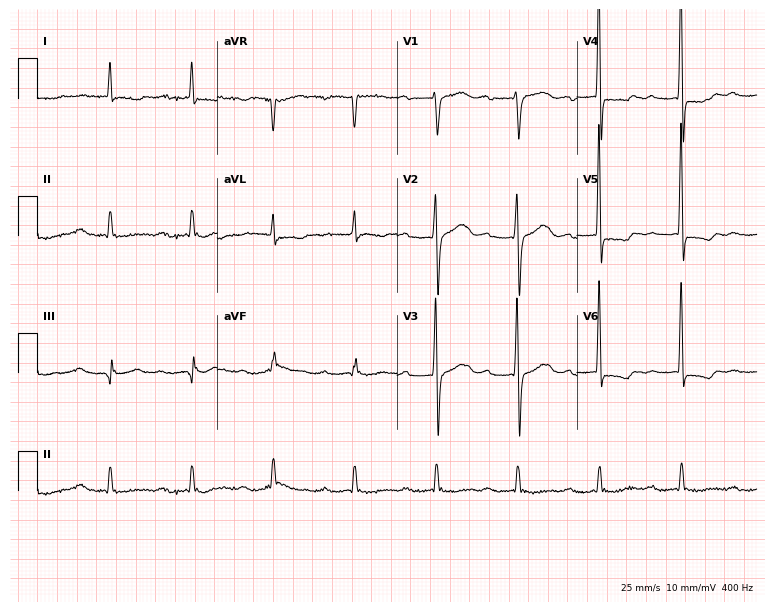
Standard 12-lead ECG recorded from an 81-year-old man (7.3-second recording at 400 Hz). The tracing shows first-degree AV block.